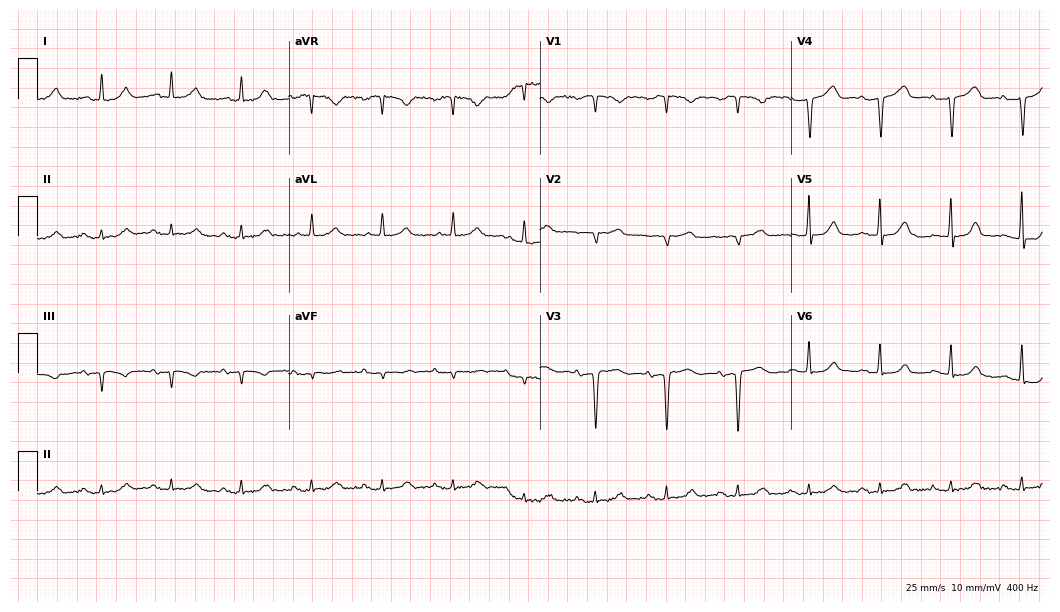
ECG — a female patient, 68 years old. Screened for six findings — first-degree AV block, right bundle branch block, left bundle branch block, sinus bradycardia, atrial fibrillation, sinus tachycardia — none is recorded.